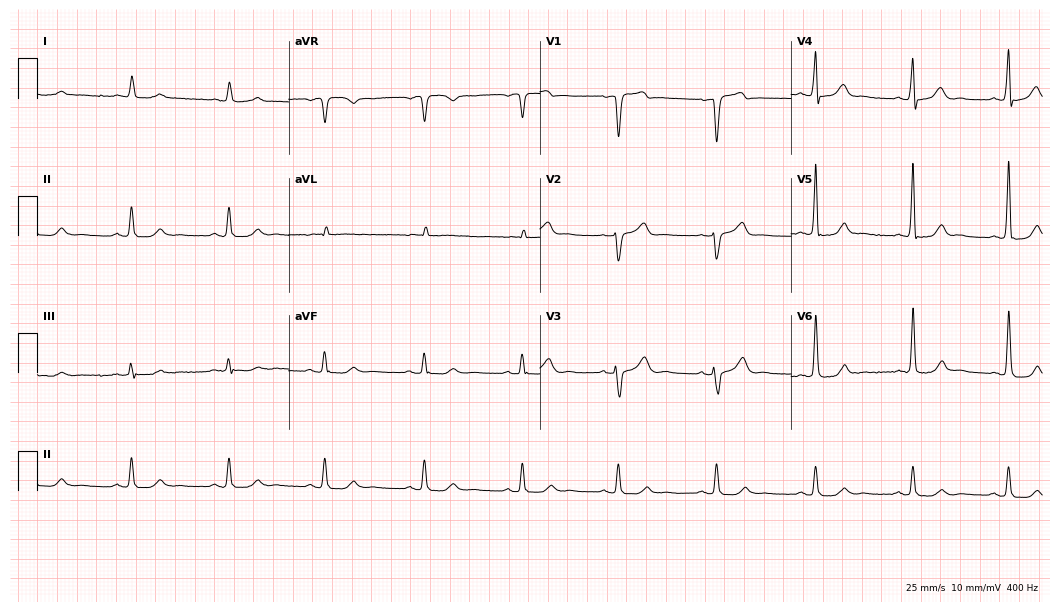
Electrocardiogram (10.2-second recording at 400 Hz), a man, 82 years old. Of the six screened findings (first-degree AV block, right bundle branch block (RBBB), left bundle branch block (LBBB), sinus bradycardia, atrial fibrillation (AF), sinus tachycardia), none is recorded. Other findings, if any, are not listed.